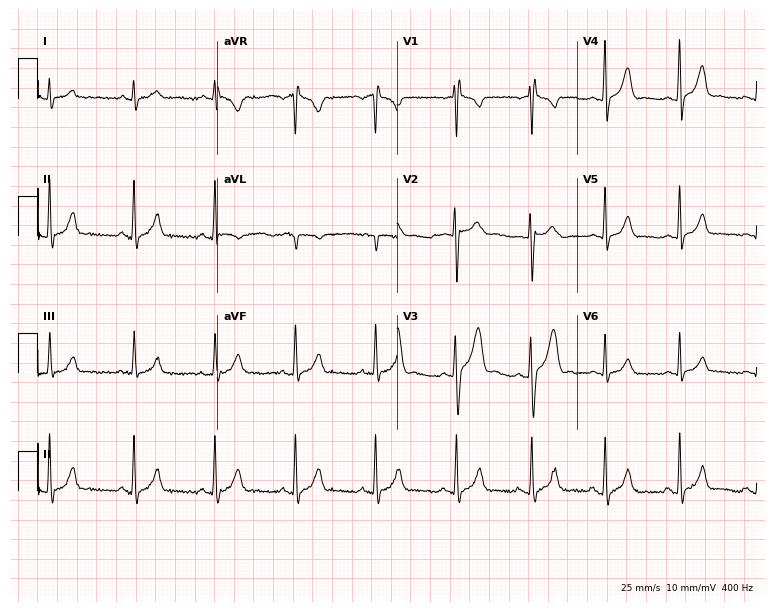
12-lead ECG from a man, 22 years old. No first-degree AV block, right bundle branch block (RBBB), left bundle branch block (LBBB), sinus bradycardia, atrial fibrillation (AF) or sinus tachycardia recorded for this tracing. Findings outside these six are not listed.